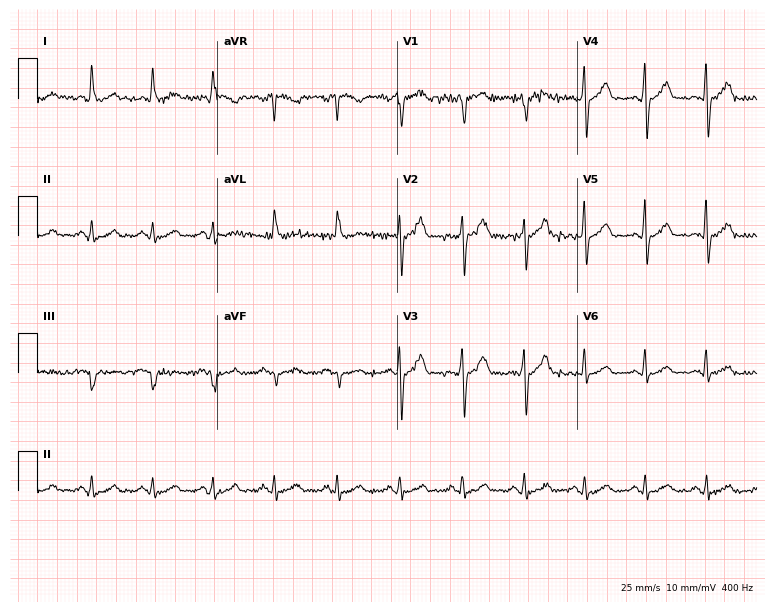
12-lead ECG from a 52-year-old male patient. No first-degree AV block, right bundle branch block, left bundle branch block, sinus bradycardia, atrial fibrillation or sinus tachycardia recorded for this tracing. Other findings, if any, are not listed.